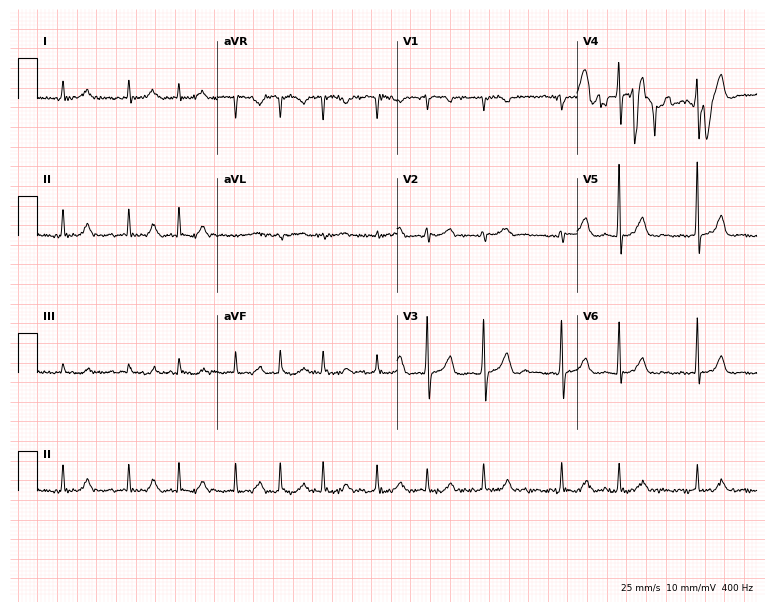
12-lead ECG from a male patient, 81 years old. Screened for six findings — first-degree AV block, right bundle branch block, left bundle branch block, sinus bradycardia, atrial fibrillation, sinus tachycardia — none is recorded. Other findings, if any, are not listed.